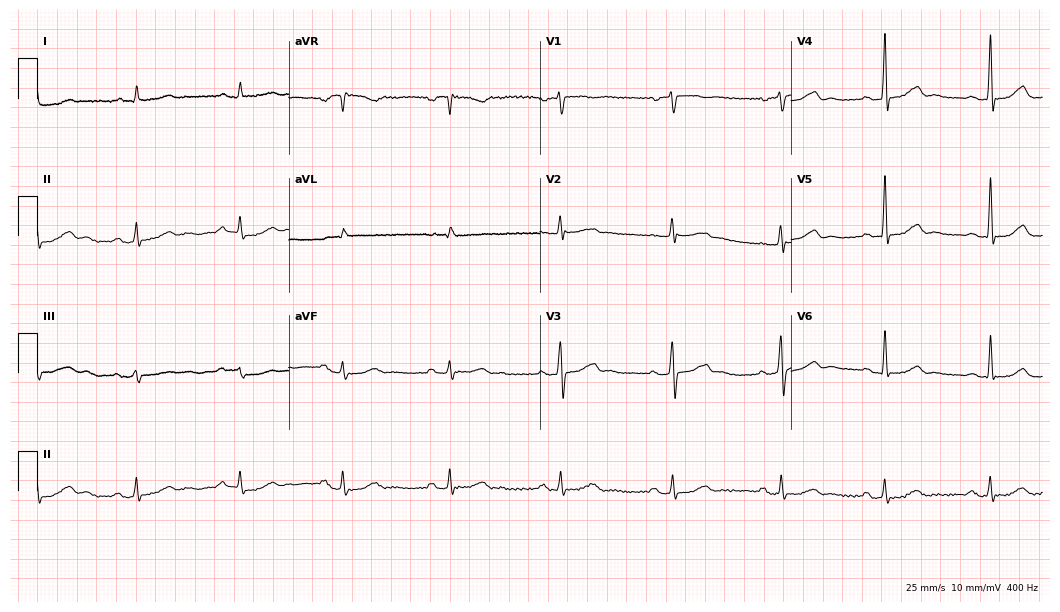
ECG (10.2-second recording at 400 Hz) — a male patient, 76 years old. Labelled as a normal ECG.